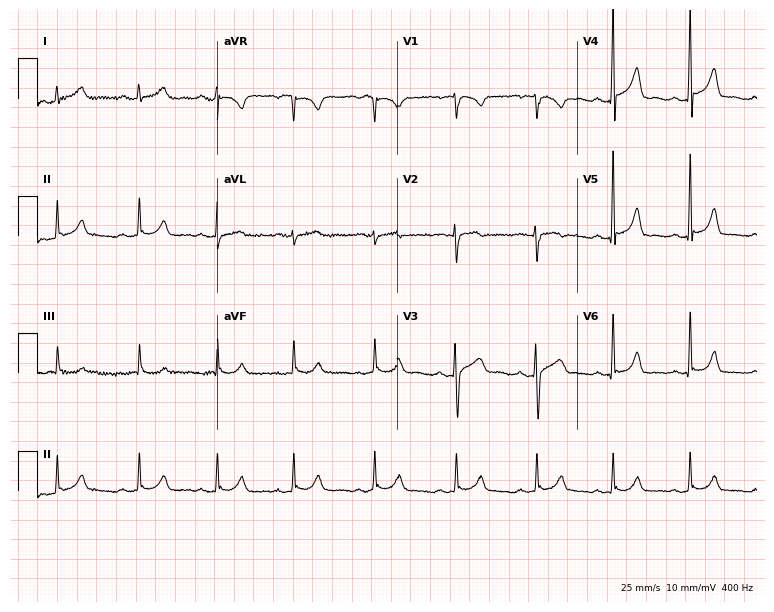
Resting 12-lead electrocardiogram (7.3-second recording at 400 Hz). Patient: a female, 19 years old. None of these six findings is recorded: first-degree AV block, right bundle branch block, left bundle branch block, sinus bradycardia, atrial fibrillation, sinus tachycardia. Other findings, if any, are not listed.